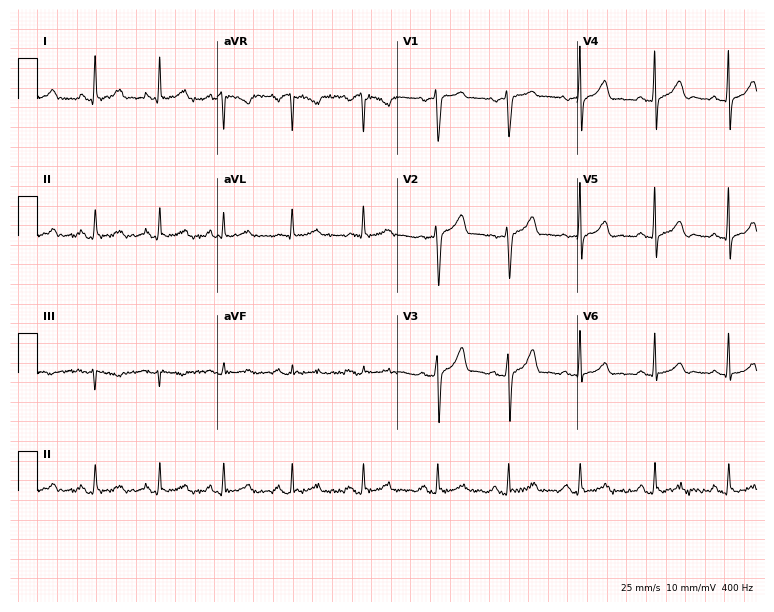
Standard 12-lead ECG recorded from a female, 49 years old (7.3-second recording at 400 Hz). Read as a normal ECG.